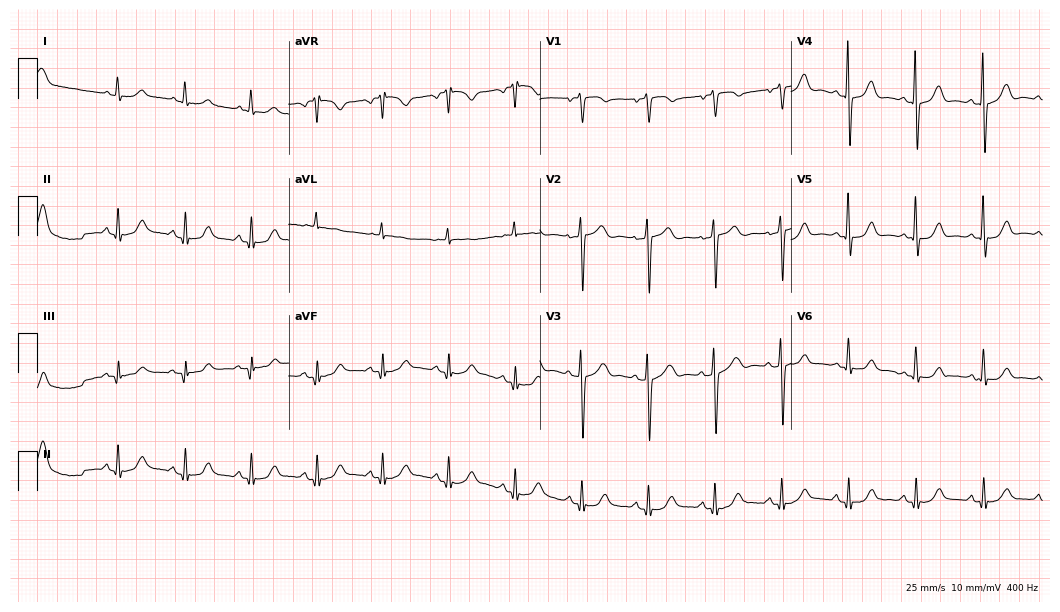
Resting 12-lead electrocardiogram. Patient: a female, 72 years old. None of these six findings is recorded: first-degree AV block, right bundle branch block, left bundle branch block, sinus bradycardia, atrial fibrillation, sinus tachycardia.